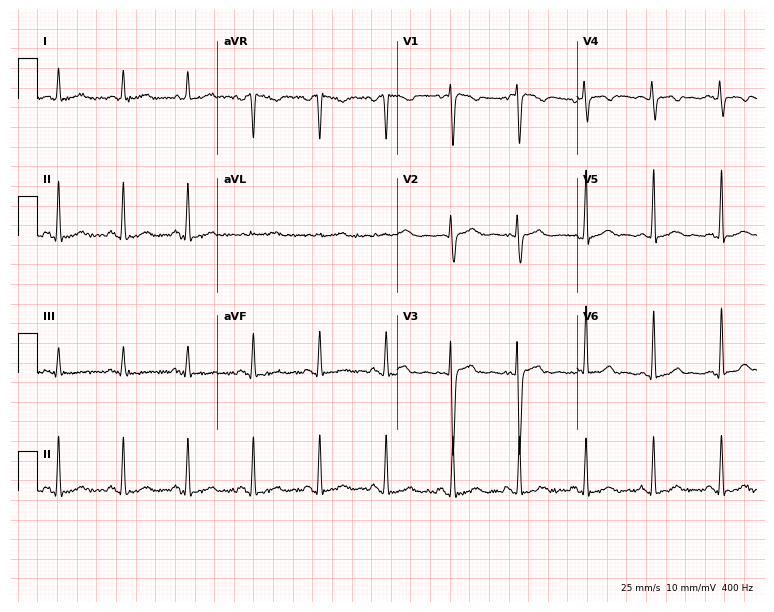
12-lead ECG (7.3-second recording at 400 Hz) from a male patient, 26 years old. Labelled as a normal ECG.